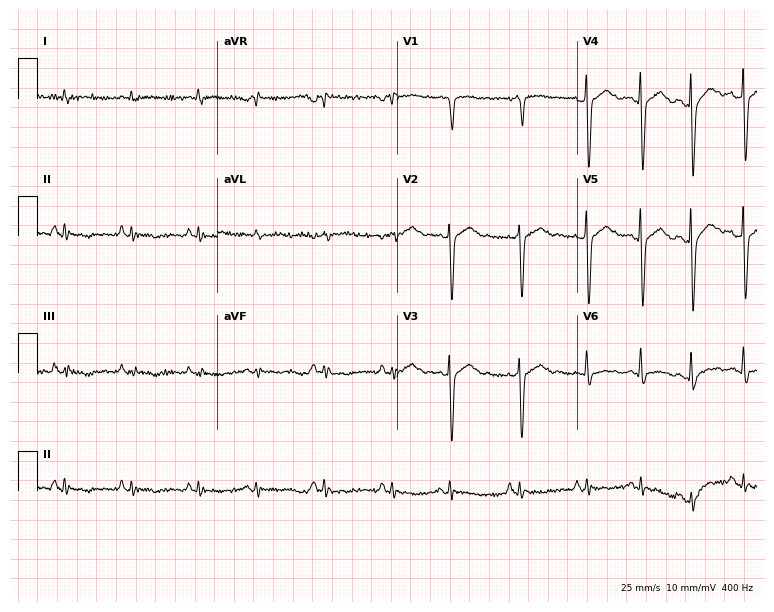
12-lead ECG from a 67-year-old male (7.3-second recording at 400 Hz). No first-degree AV block, right bundle branch block, left bundle branch block, sinus bradycardia, atrial fibrillation or sinus tachycardia recorded for this tracing. Other findings, if any, are not listed.